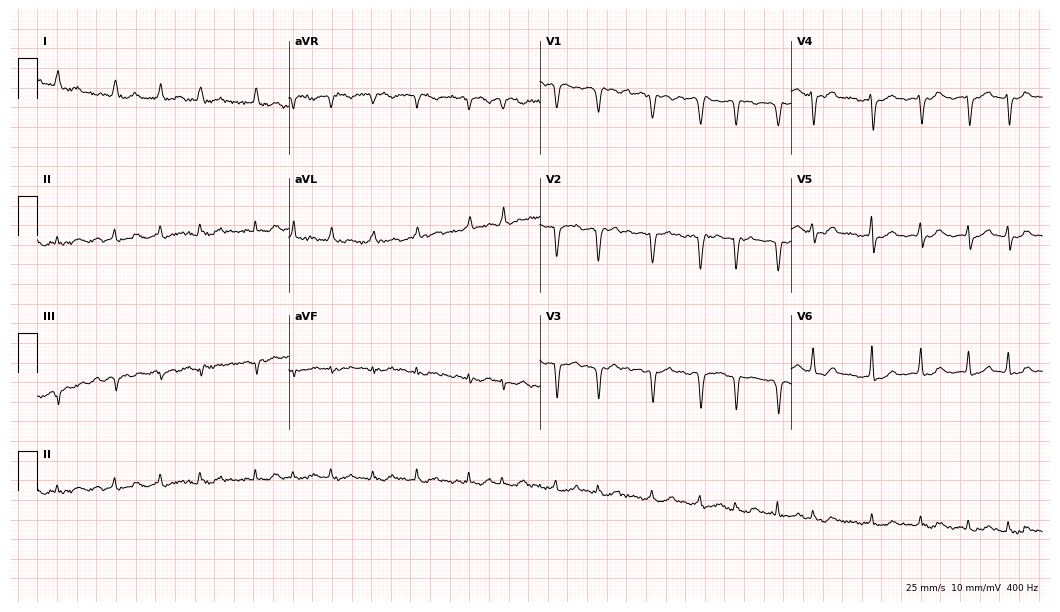
12-lead ECG (10.2-second recording at 400 Hz) from an 81-year-old female patient. Screened for six findings — first-degree AV block, right bundle branch block, left bundle branch block, sinus bradycardia, atrial fibrillation, sinus tachycardia — none is recorded.